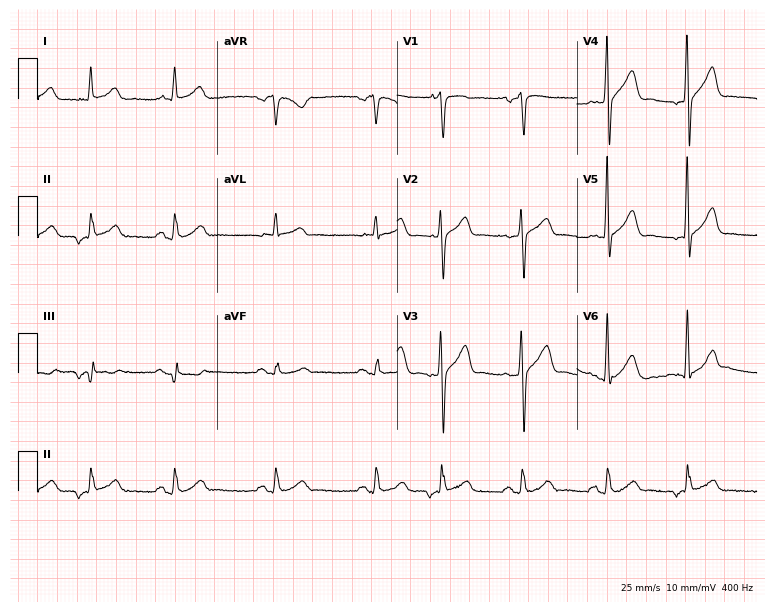
Standard 12-lead ECG recorded from a male, 72 years old (7.3-second recording at 400 Hz). None of these six findings is recorded: first-degree AV block, right bundle branch block (RBBB), left bundle branch block (LBBB), sinus bradycardia, atrial fibrillation (AF), sinus tachycardia. Findings outside these six are not listed.